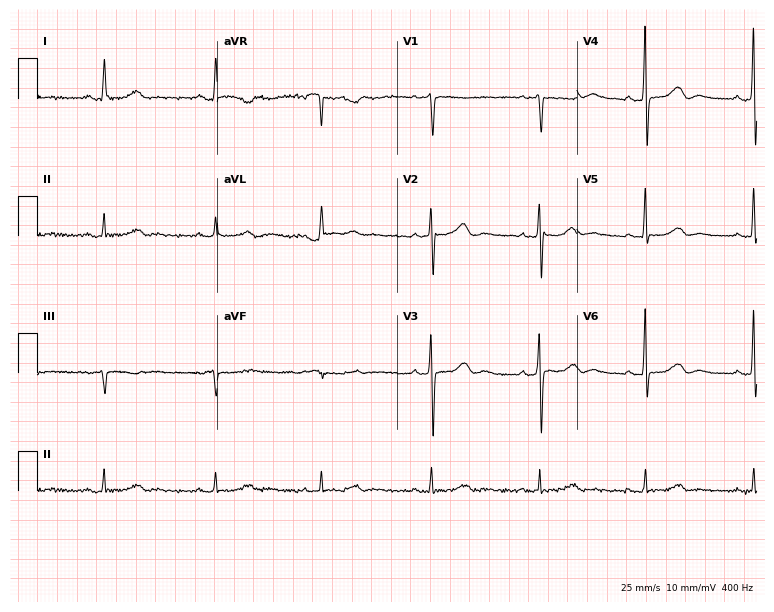
Standard 12-lead ECG recorded from a 73-year-old female. Read as a normal ECG.